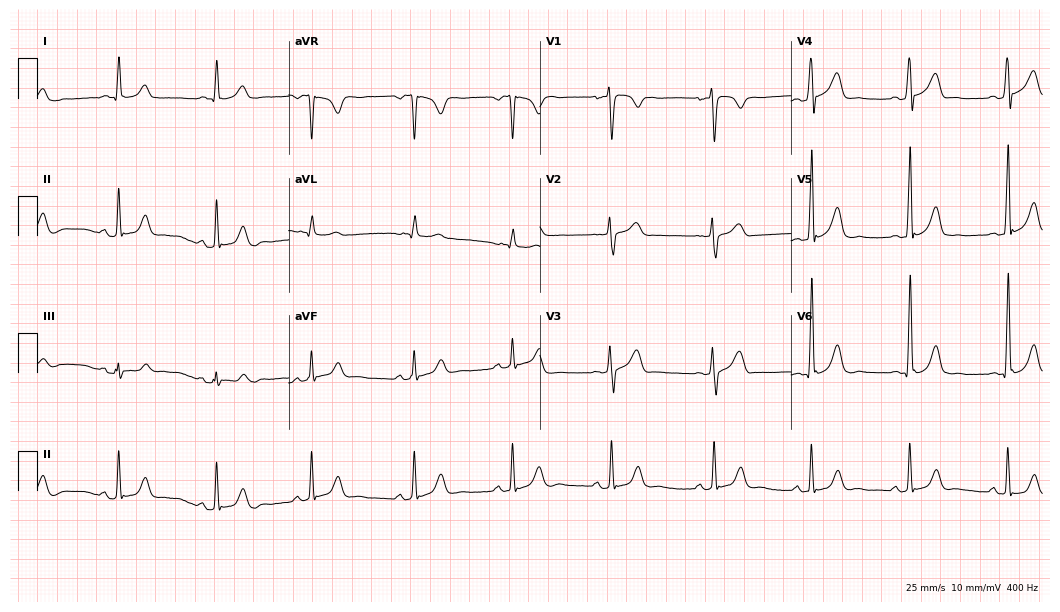
Electrocardiogram (10.2-second recording at 400 Hz), a 36-year-old male. Overall reading on record: normal ECG.